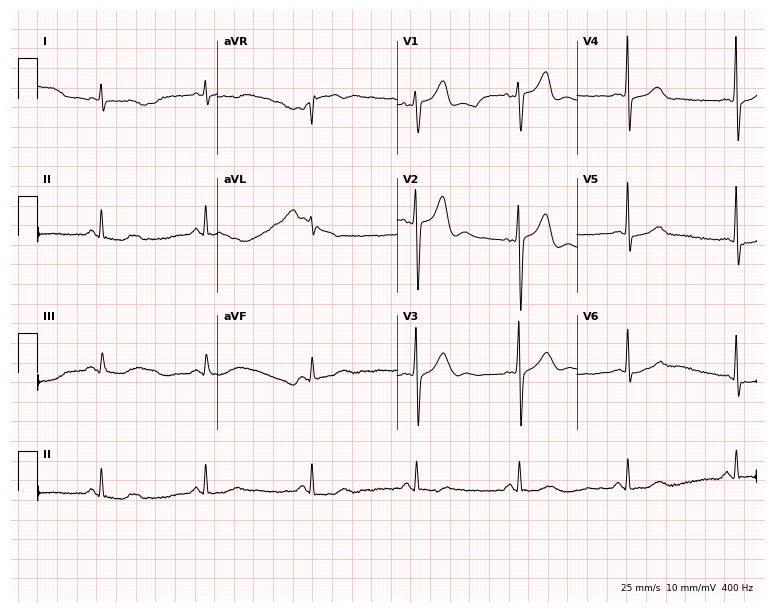
Resting 12-lead electrocardiogram. Patient: a man, 63 years old. None of these six findings is recorded: first-degree AV block, right bundle branch block, left bundle branch block, sinus bradycardia, atrial fibrillation, sinus tachycardia.